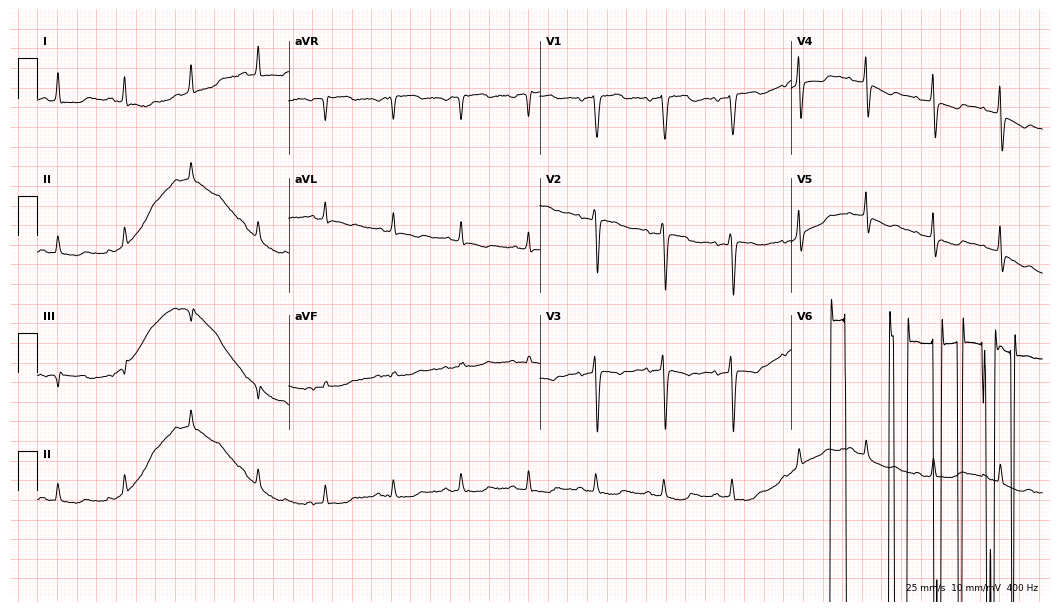
12-lead ECG from a female patient, 74 years old. Screened for six findings — first-degree AV block, right bundle branch block (RBBB), left bundle branch block (LBBB), sinus bradycardia, atrial fibrillation (AF), sinus tachycardia — none is recorded. Only these six findings were labelled.